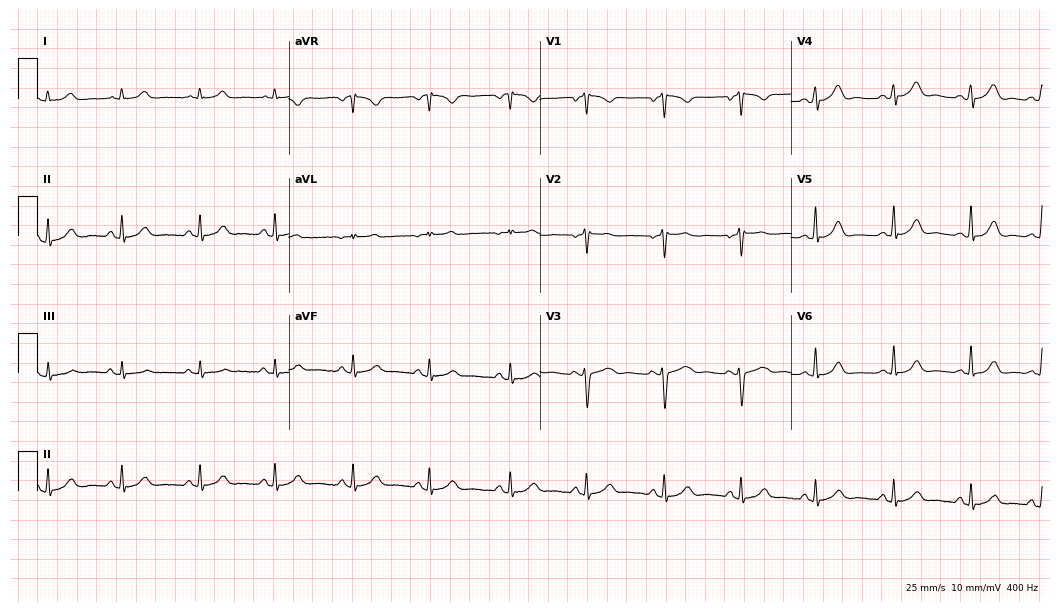
12-lead ECG from a female patient, 37 years old. Labelled as a normal ECG.